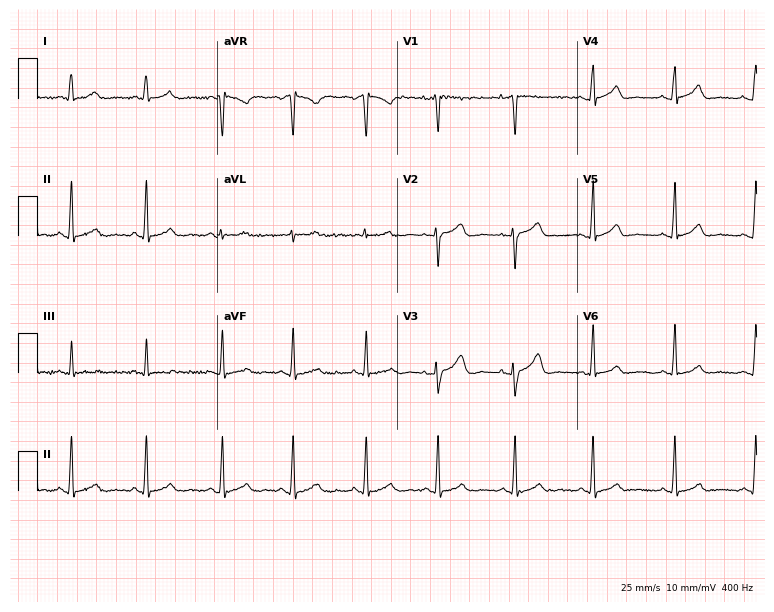
12-lead ECG from a female patient, 20 years old. Recorded interpretation: within normal limits.